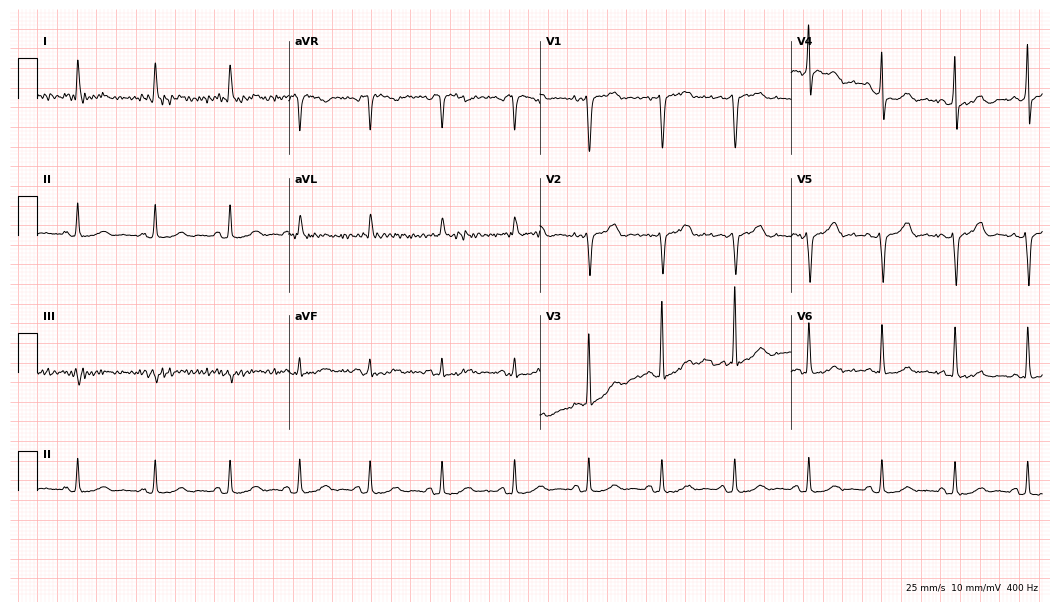
ECG — a woman, 70 years old. Screened for six findings — first-degree AV block, right bundle branch block (RBBB), left bundle branch block (LBBB), sinus bradycardia, atrial fibrillation (AF), sinus tachycardia — none is recorded.